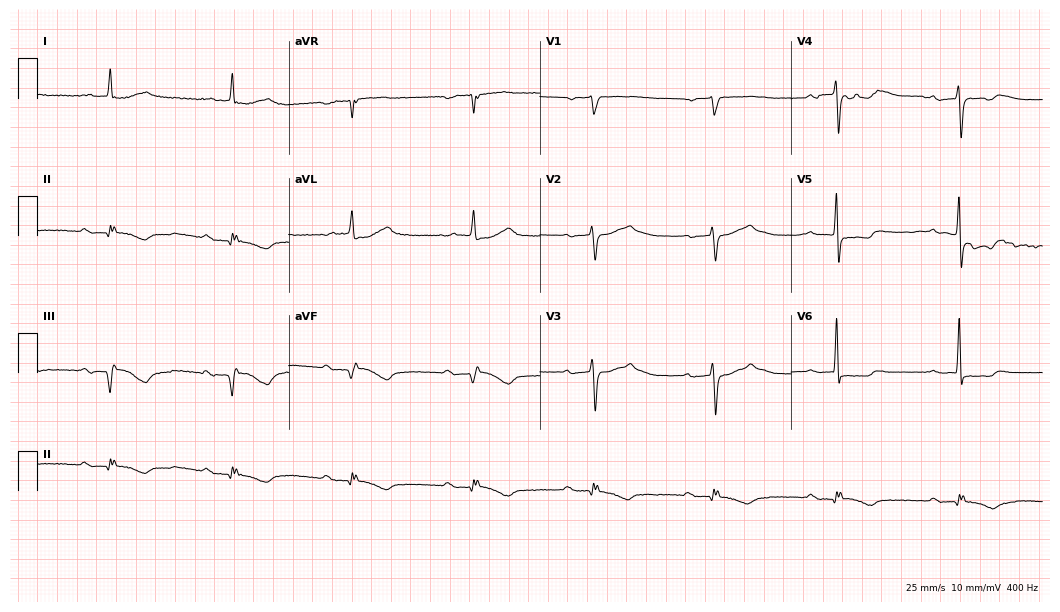
Electrocardiogram, a 68-year-old man. Interpretation includes first-degree AV block, right bundle branch block, sinus bradycardia (a sinus rate of 50 beats per minute or less).